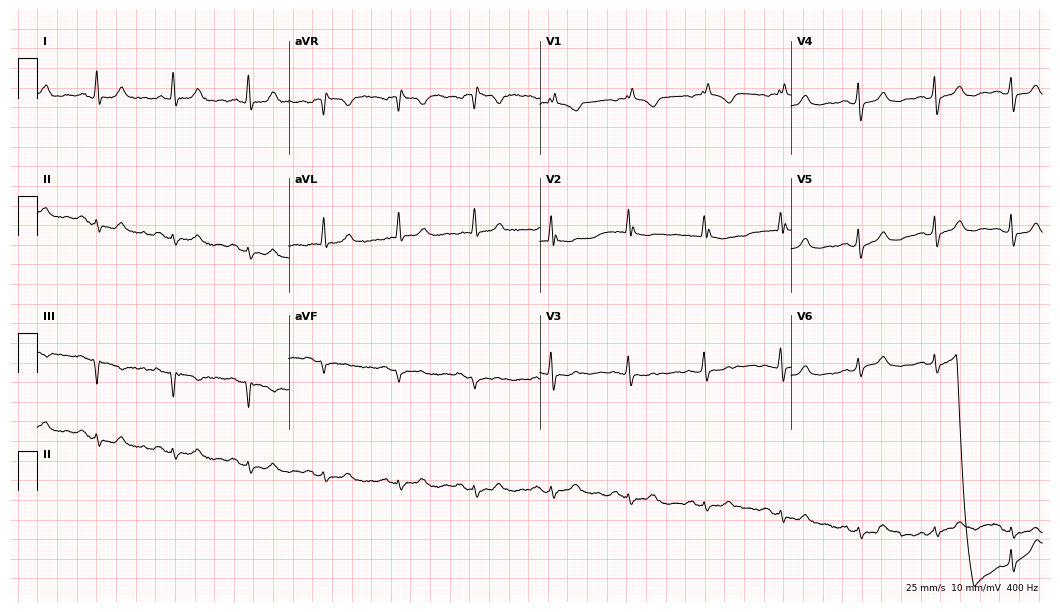
12-lead ECG (10.2-second recording at 400 Hz) from a female patient, 74 years old. Screened for six findings — first-degree AV block, right bundle branch block (RBBB), left bundle branch block (LBBB), sinus bradycardia, atrial fibrillation (AF), sinus tachycardia — none is recorded. Other findings, if any, are not listed.